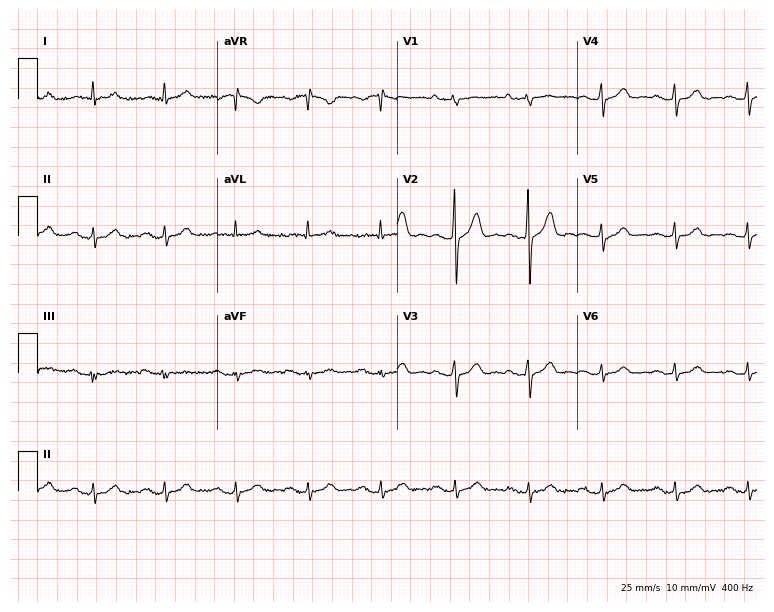
Standard 12-lead ECG recorded from a 76-year-old male patient (7.3-second recording at 400 Hz). Read as a normal ECG.